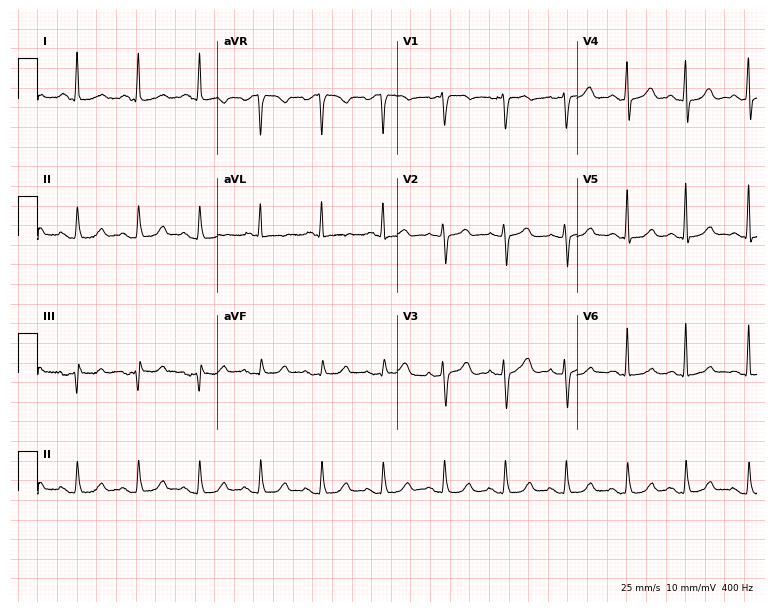
Electrocardiogram, a 65-year-old female patient. Of the six screened findings (first-degree AV block, right bundle branch block (RBBB), left bundle branch block (LBBB), sinus bradycardia, atrial fibrillation (AF), sinus tachycardia), none is recorded.